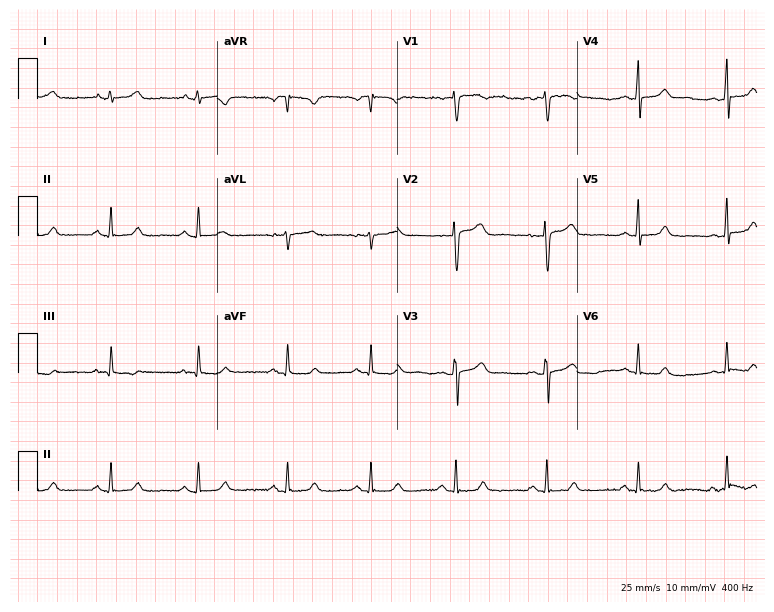
12-lead ECG from a female patient, 32 years old. No first-degree AV block, right bundle branch block, left bundle branch block, sinus bradycardia, atrial fibrillation or sinus tachycardia recorded for this tracing. Only these six findings were labelled.